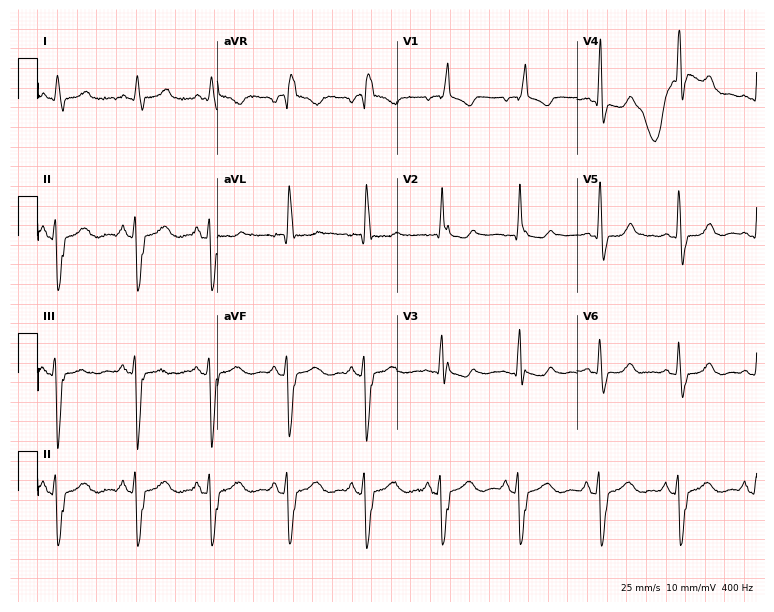
12-lead ECG from a female, 71 years old. Findings include right bundle branch block (RBBB), left bundle branch block (LBBB).